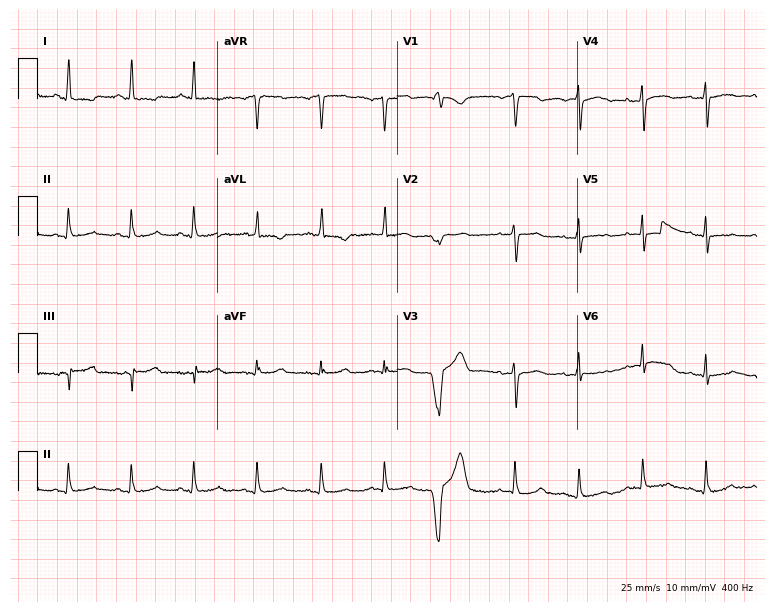
Resting 12-lead electrocardiogram. Patient: a woman, 78 years old. None of these six findings is recorded: first-degree AV block, right bundle branch block (RBBB), left bundle branch block (LBBB), sinus bradycardia, atrial fibrillation (AF), sinus tachycardia.